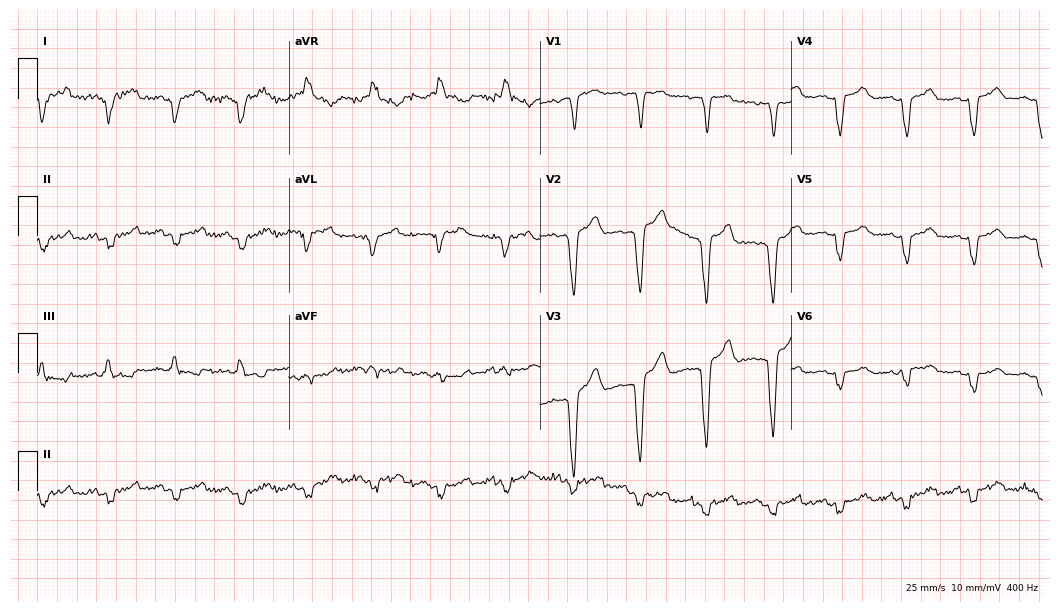
Standard 12-lead ECG recorded from a female, 72 years old. None of these six findings is recorded: first-degree AV block, right bundle branch block, left bundle branch block, sinus bradycardia, atrial fibrillation, sinus tachycardia.